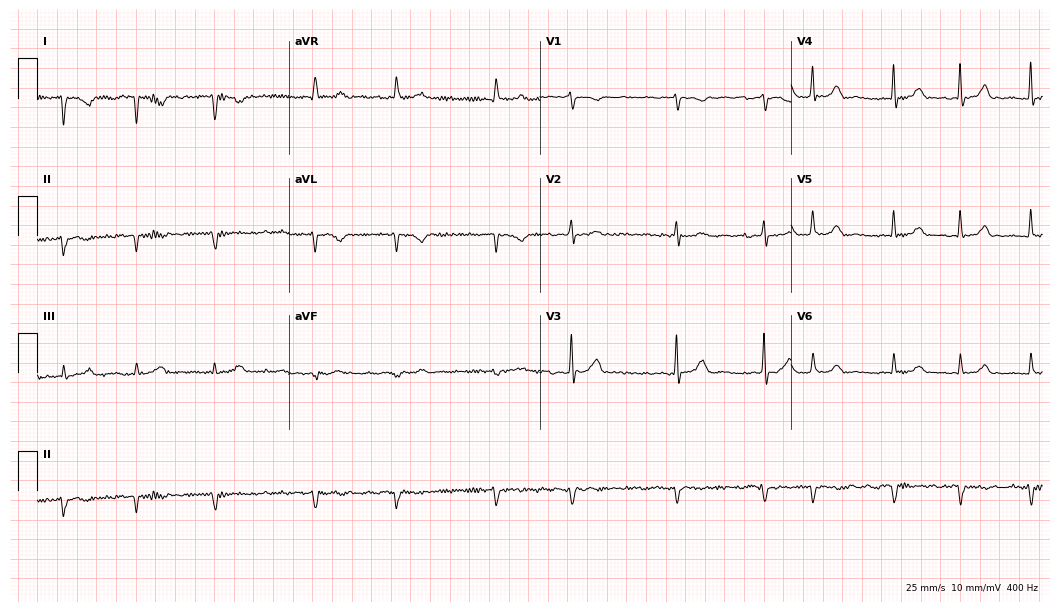
ECG — a 67-year-old woman. Screened for six findings — first-degree AV block, right bundle branch block (RBBB), left bundle branch block (LBBB), sinus bradycardia, atrial fibrillation (AF), sinus tachycardia — none is recorded. Other findings, if any, are not listed.